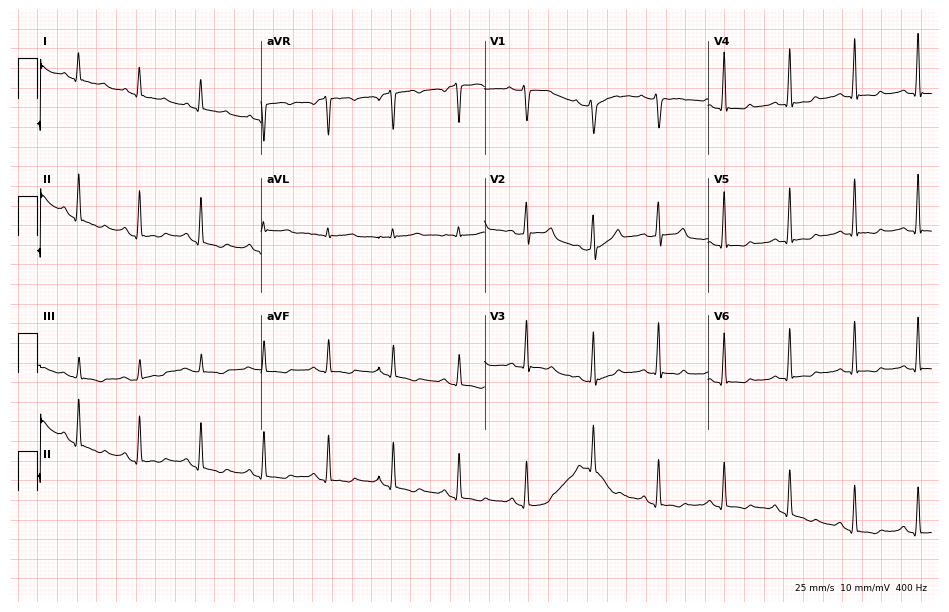
12-lead ECG from a woman, 42 years old. Screened for six findings — first-degree AV block, right bundle branch block, left bundle branch block, sinus bradycardia, atrial fibrillation, sinus tachycardia — none is recorded. Only these six findings were labelled.